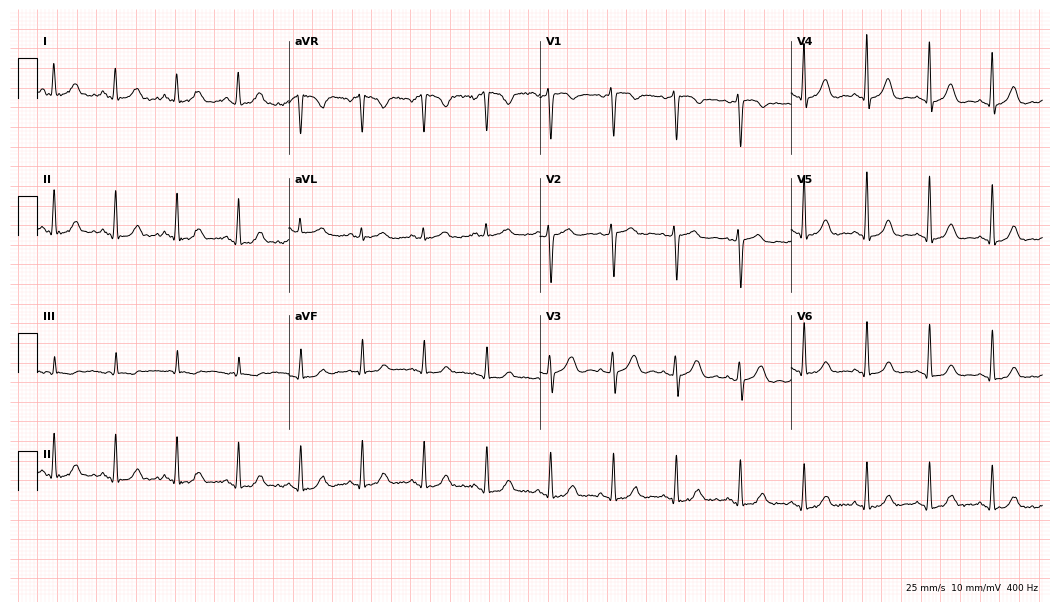
Standard 12-lead ECG recorded from a 52-year-old female (10.2-second recording at 400 Hz). Read as a normal ECG.